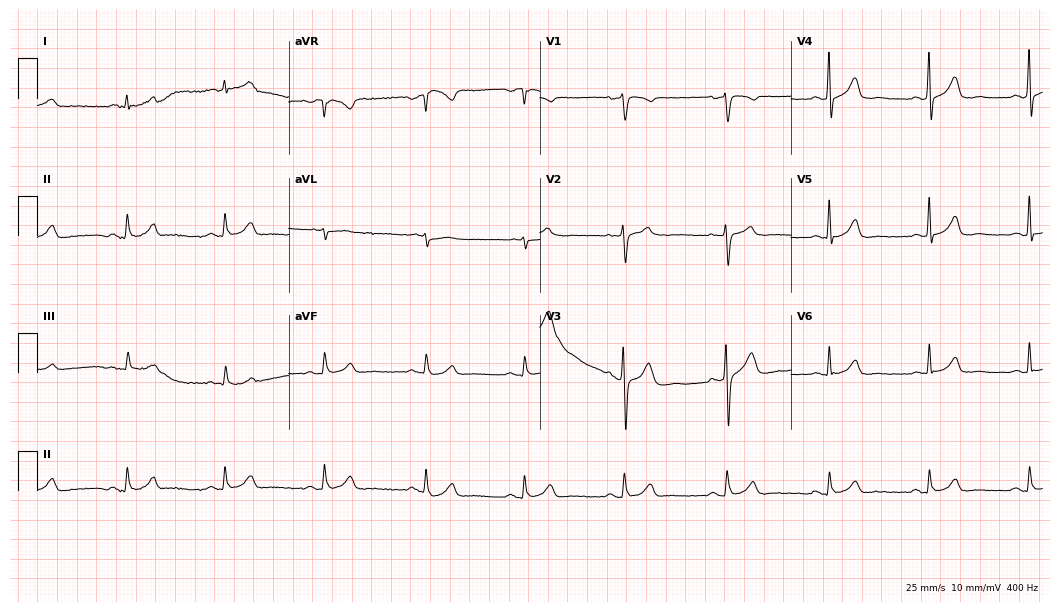
12-lead ECG from a 52-year-old male patient. Recorded interpretation: within normal limits.